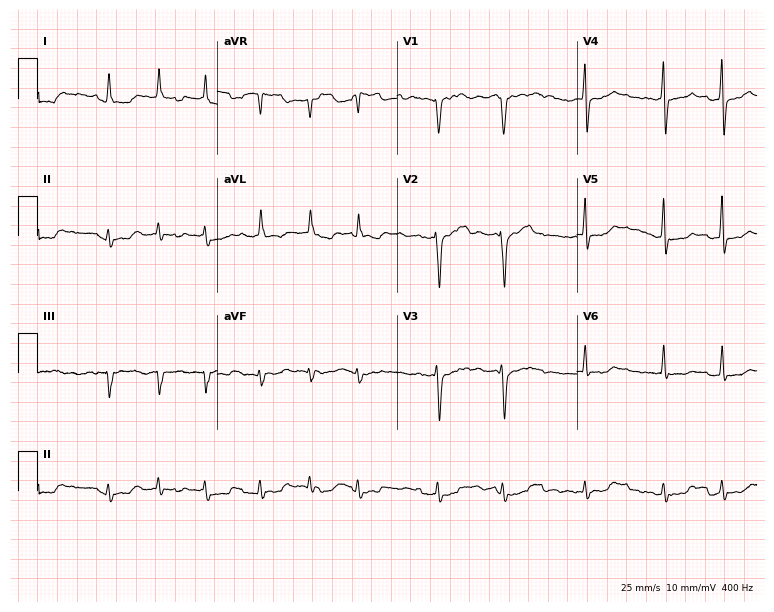
Resting 12-lead electrocardiogram. Patient: a 58-year-old male. The tracing shows atrial fibrillation.